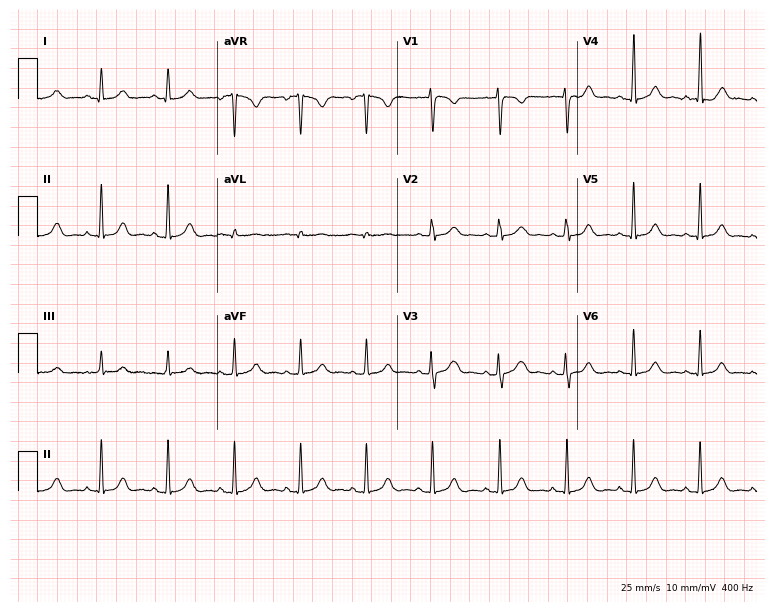
ECG — a female patient, 25 years old. Labelled as a normal ECG.